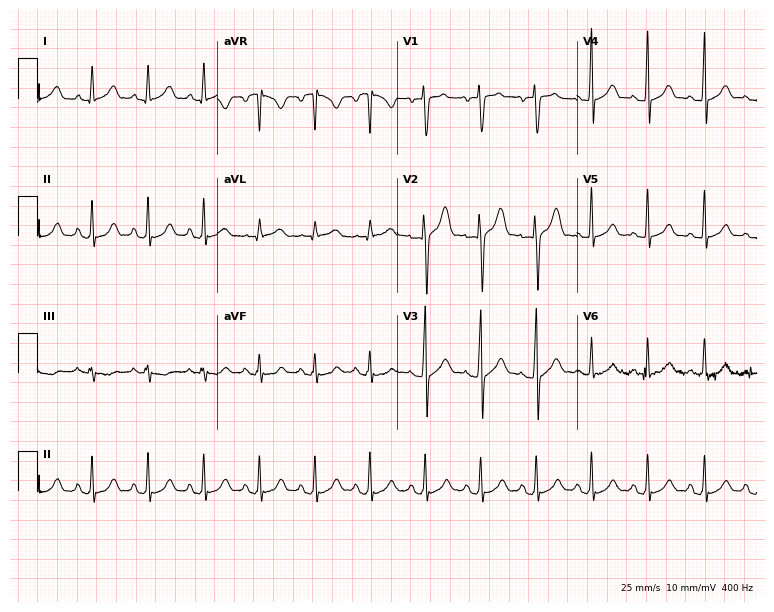
Electrocardiogram, a man, 35 years old. Interpretation includes sinus tachycardia (a sinus rate of 100 beats per minute or more).